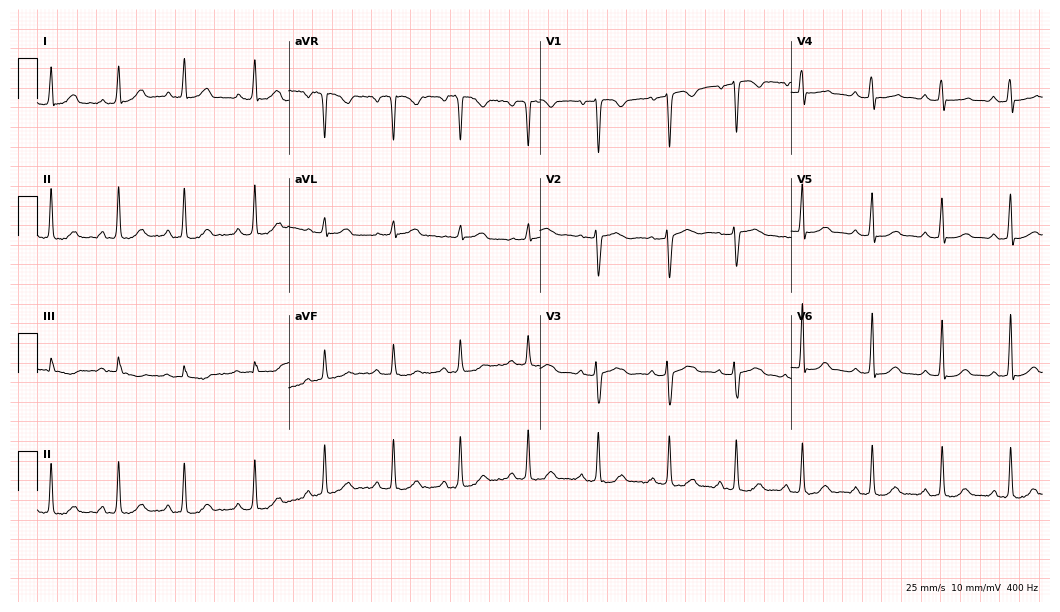
12-lead ECG from a 34-year-old female. Recorded interpretation: within normal limits.